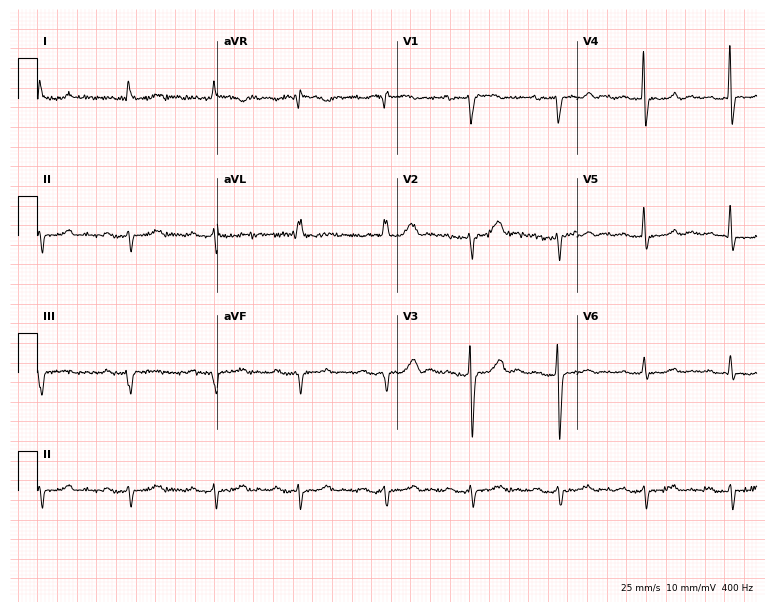
ECG — a man, 81 years old. Screened for six findings — first-degree AV block, right bundle branch block, left bundle branch block, sinus bradycardia, atrial fibrillation, sinus tachycardia — none is recorded.